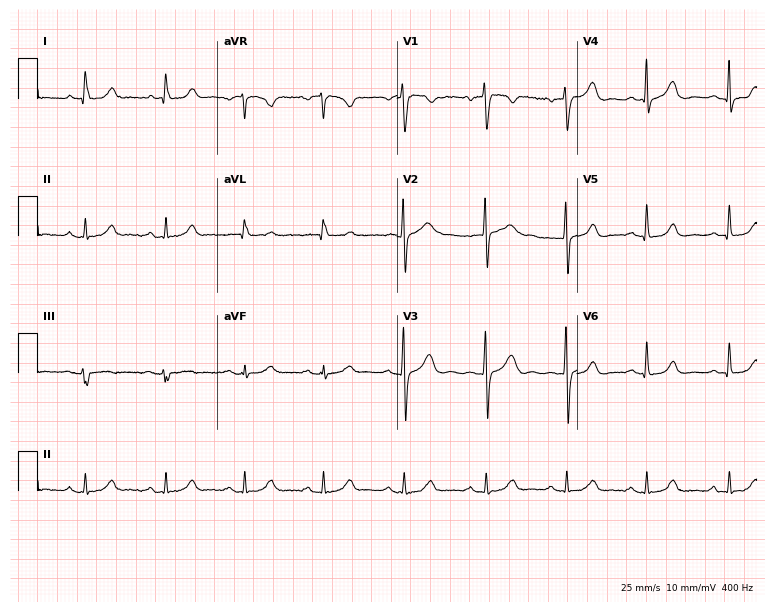
12-lead ECG from a 49-year-old female patient. Recorded interpretation: within normal limits.